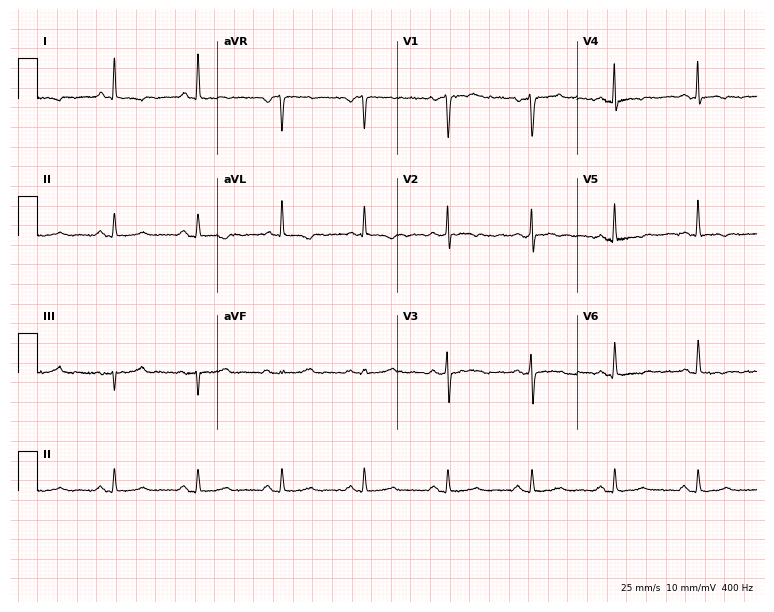
Resting 12-lead electrocardiogram (7.3-second recording at 400 Hz). Patient: a 41-year-old female. None of these six findings is recorded: first-degree AV block, right bundle branch block, left bundle branch block, sinus bradycardia, atrial fibrillation, sinus tachycardia. Findings outside these six are not listed.